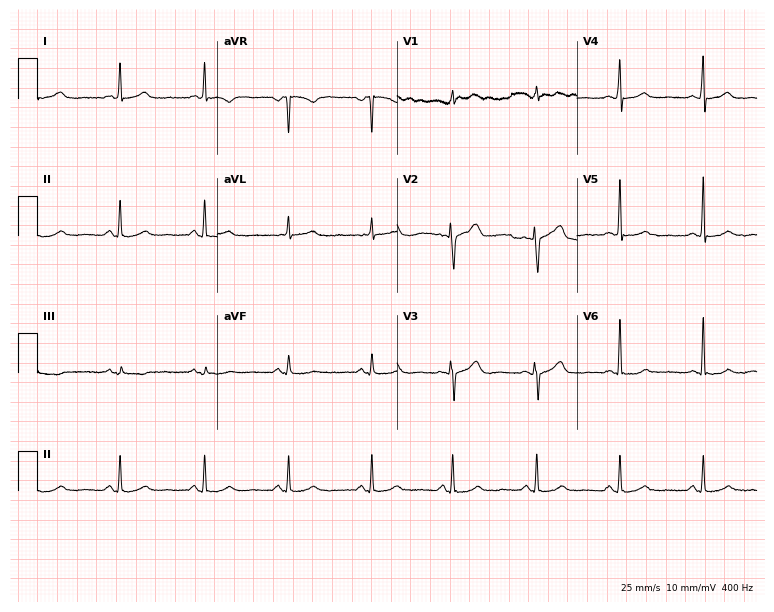
Resting 12-lead electrocardiogram. Patient: a female, 47 years old. None of these six findings is recorded: first-degree AV block, right bundle branch block, left bundle branch block, sinus bradycardia, atrial fibrillation, sinus tachycardia.